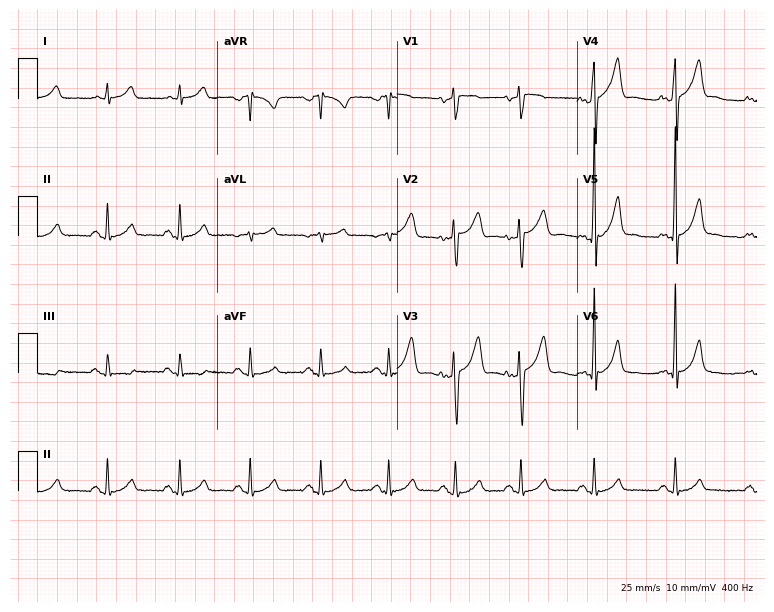
ECG (7.3-second recording at 400 Hz) — a 51-year-old male patient. Labelled as a normal ECG.